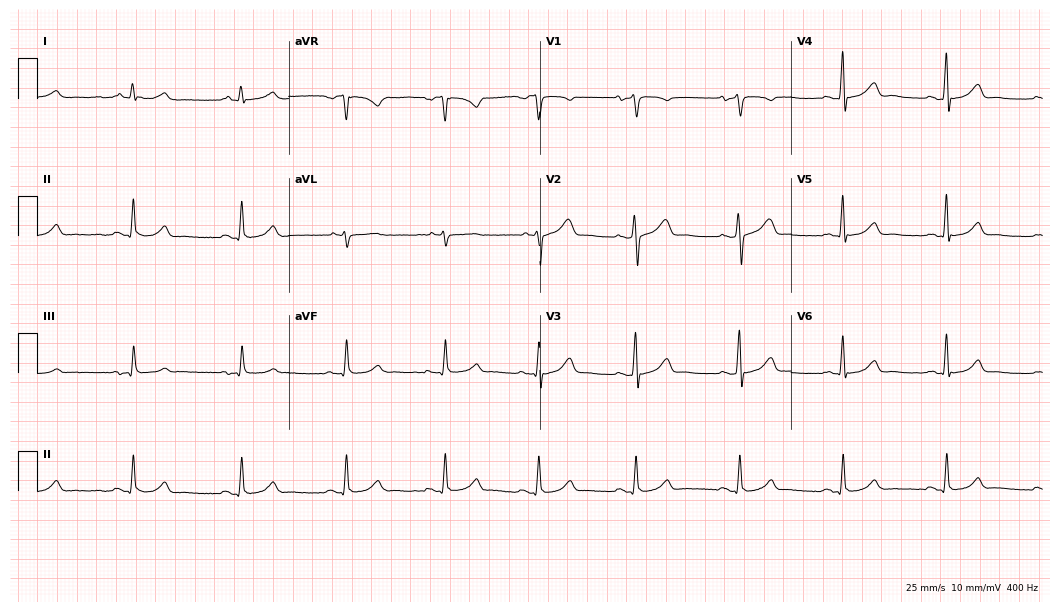
Standard 12-lead ECG recorded from a 53-year-old male. Read as a normal ECG.